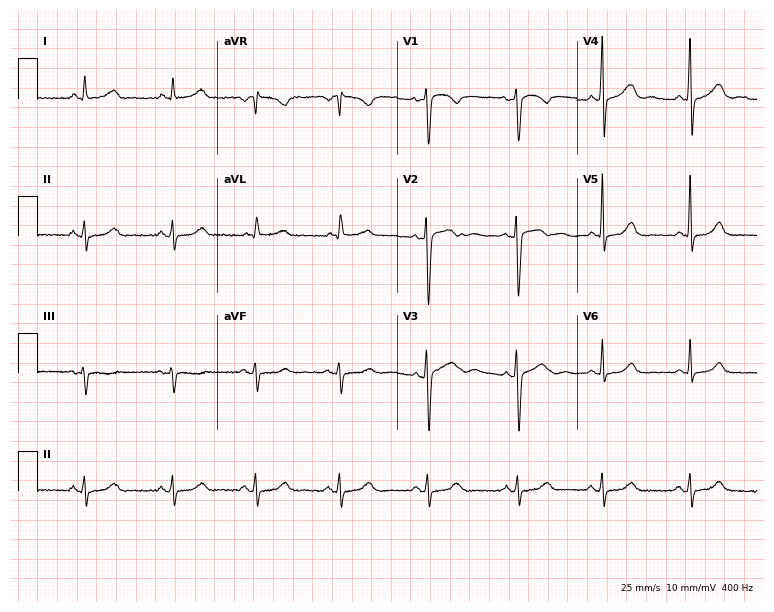
12-lead ECG from a 43-year-old woman (7.3-second recording at 400 Hz). No first-degree AV block, right bundle branch block, left bundle branch block, sinus bradycardia, atrial fibrillation or sinus tachycardia recorded for this tracing. Other findings, if any, are not listed.